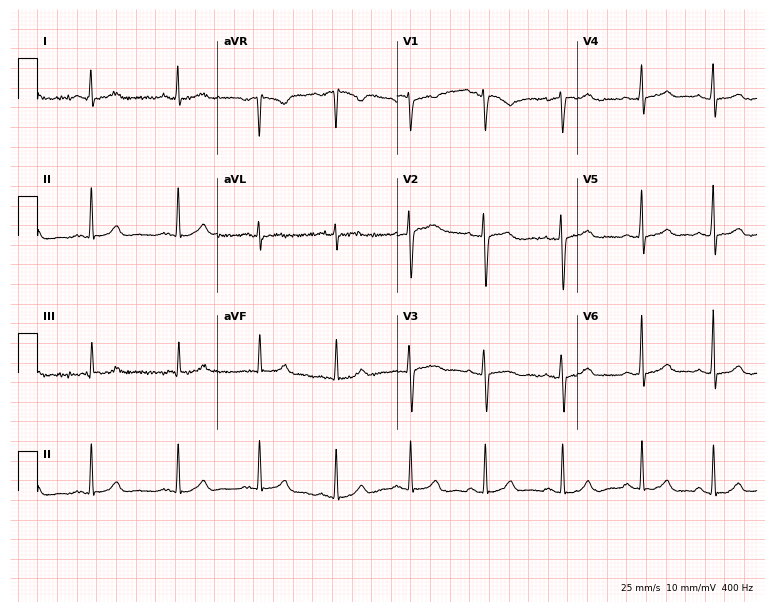
12-lead ECG (7.3-second recording at 400 Hz) from a female patient, 35 years old. Labelled as a normal ECG.